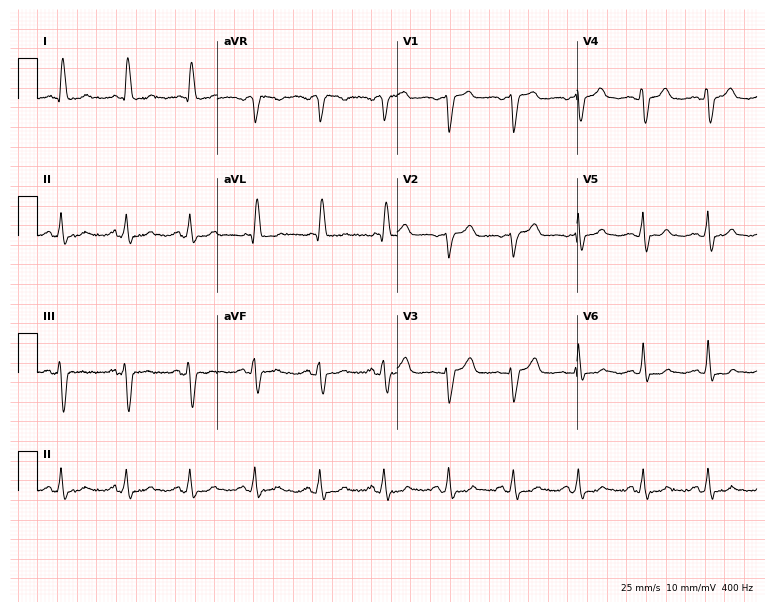
ECG — a woman, 84 years old. Screened for six findings — first-degree AV block, right bundle branch block, left bundle branch block, sinus bradycardia, atrial fibrillation, sinus tachycardia — none is recorded. Findings outside these six are not listed.